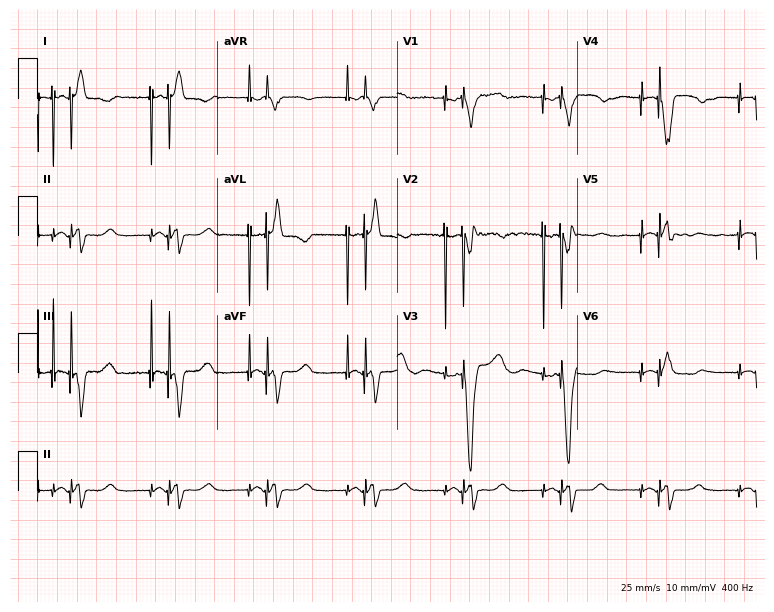
Resting 12-lead electrocardiogram (7.3-second recording at 400 Hz). Patient: a female, 82 years old. None of these six findings is recorded: first-degree AV block, right bundle branch block, left bundle branch block, sinus bradycardia, atrial fibrillation, sinus tachycardia. Findings outside these six are not listed.